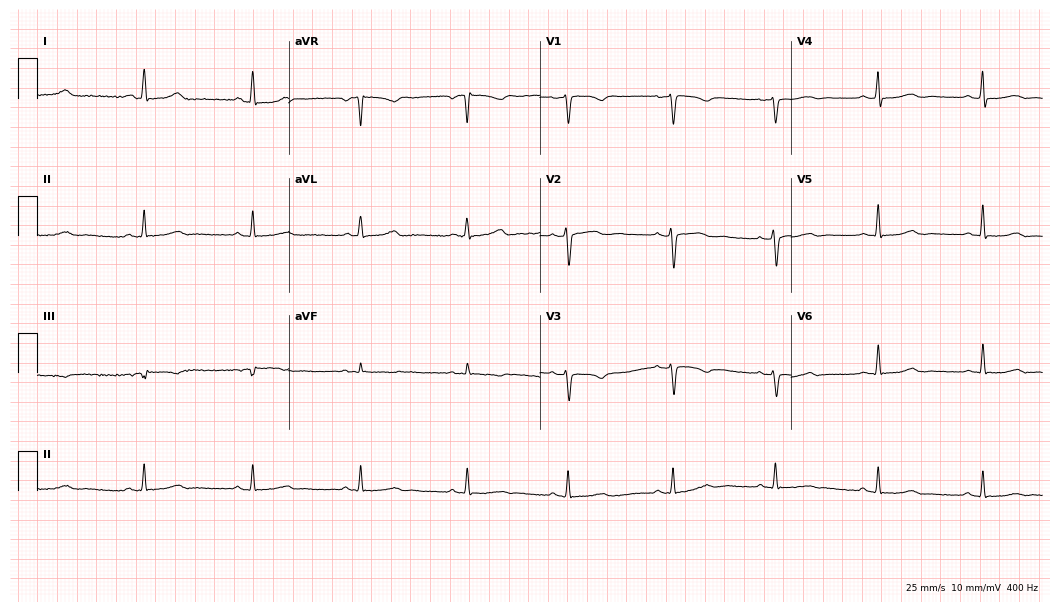
Resting 12-lead electrocardiogram. Patient: a 36-year-old woman. None of these six findings is recorded: first-degree AV block, right bundle branch block, left bundle branch block, sinus bradycardia, atrial fibrillation, sinus tachycardia. Findings outside these six are not listed.